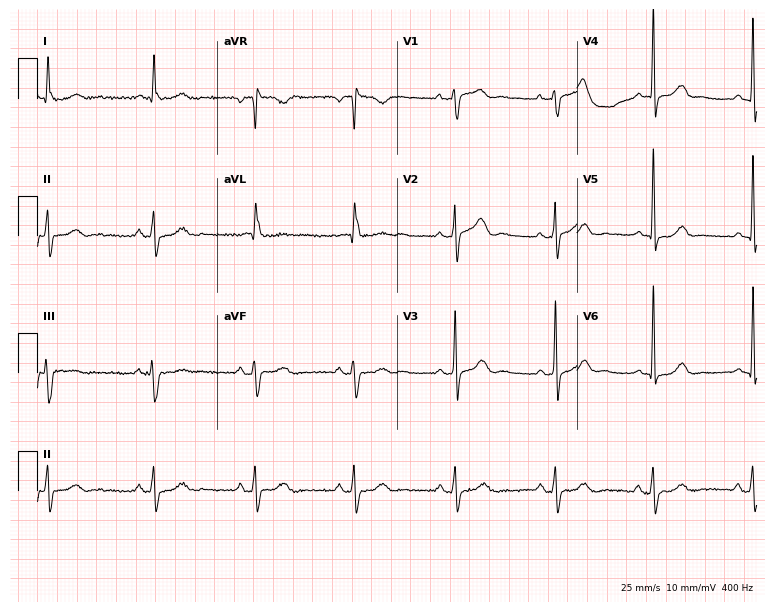
12-lead ECG from a 74-year-old woman. Screened for six findings — first-degree AV block, right bundle branch block, left bundle branch block, sinus bradycardia, atrial fibrillation, sinus tachycardia — none is recorded. Only these six findings were labelled.